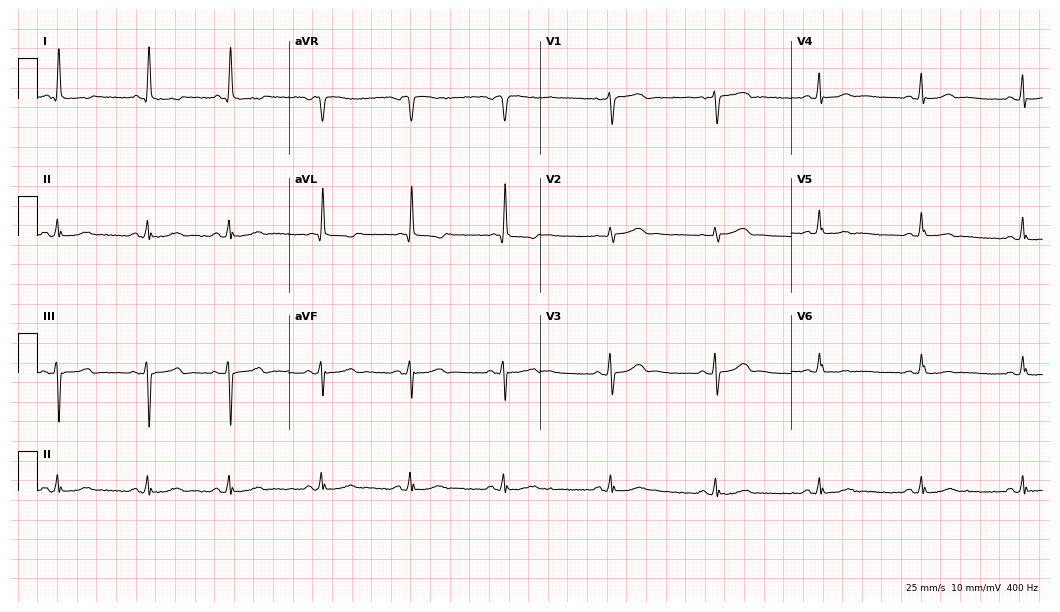
ECG — a woman, 73 years old. Screened for six findings — first-degree AV block, right bundle branch block (RBBB), left bundle branch block (LBBB), sinus bradycardia, atrial fibrillation (AF), sinus tachycardia — none is recorded.